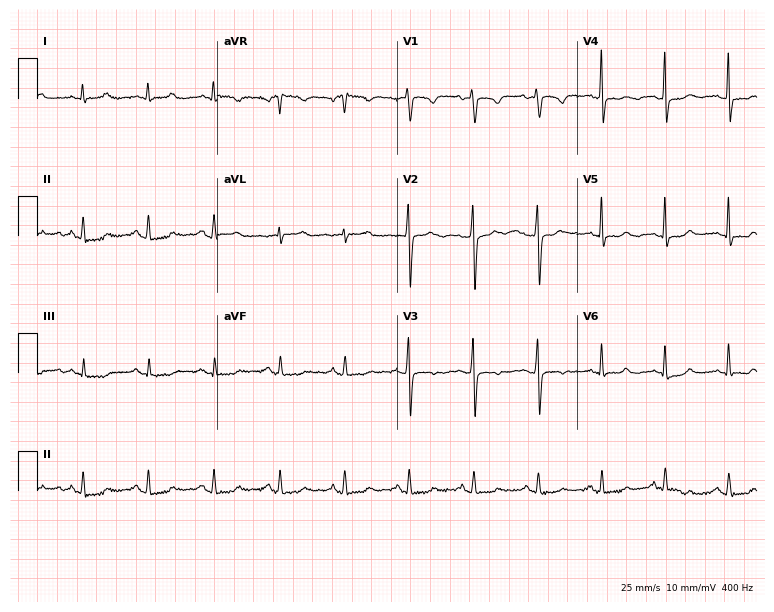
12-lead ECG (7.3-second recording at 400 Hz) from a 49-year-old female. Screened for six findings — first-degree AV block, right bundle branch block, left bundle branch block, sinus bradycardia, atrial fibrillation, sinus tachycardia — none is recorded.